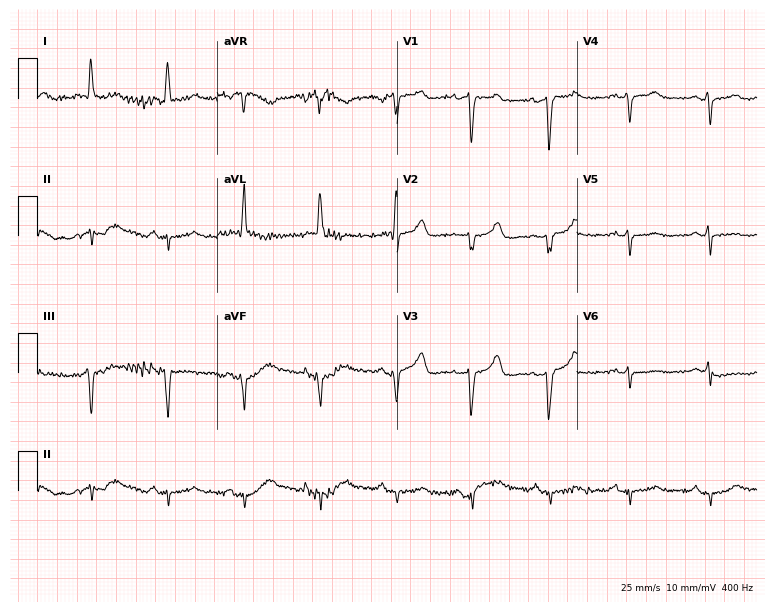
Electrocardiogram (7.3-second recording at 400 Hz), a woman, 68 years old. Of the six screened findings (first-degree AV block, right bundle branch block, left bundle branch block, sinus bradycardia, atrial fibrillation, sinus tachycardia), none is recorded. Other findings, if any, are not listed.